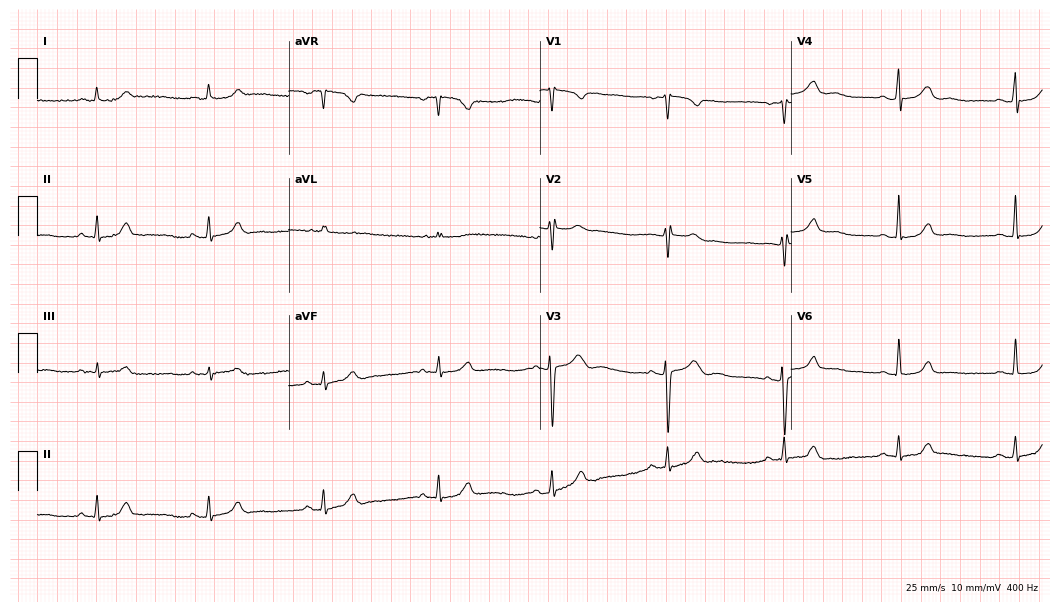
Electrocardiogram, a 56-year-old woman. Overall reading on record: normal ECG.